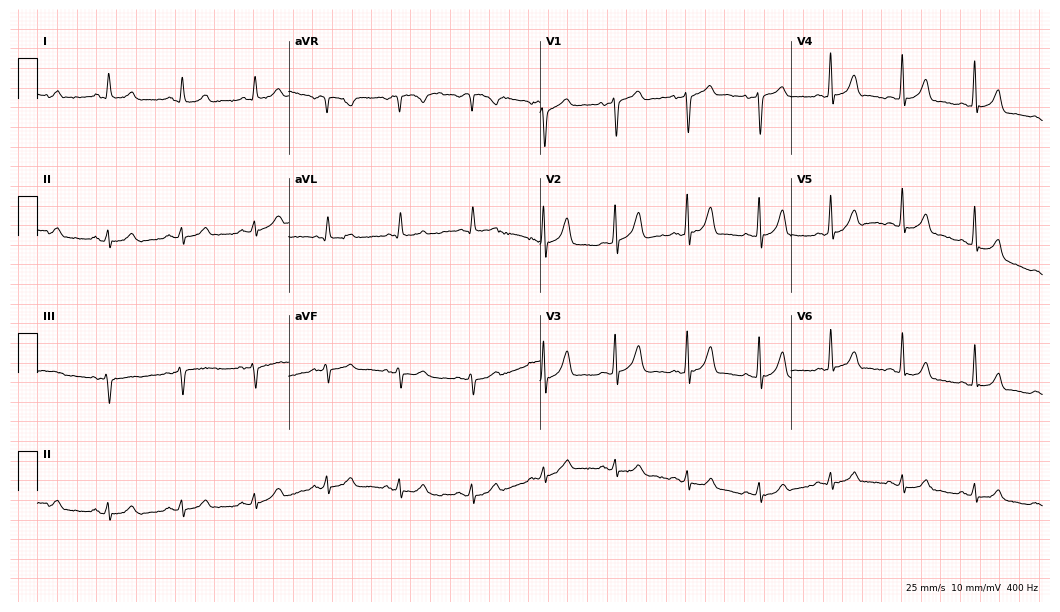
ECG — a 78-year-old male. Screened for six findings — first-degree AV block, right bundle branch block (RBBB), left bundle branch block (LBBB), sinus bradycardia, atrial fibrillation (AF), sinus tachycardia — none is recorded.